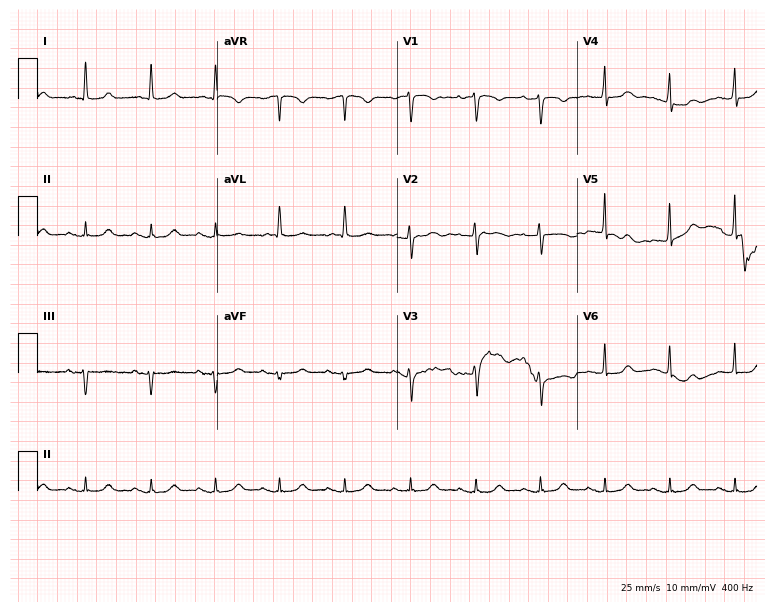
Standard 12-lead ECG recorded from a woman, 65 years old. Read as a normal ECG.